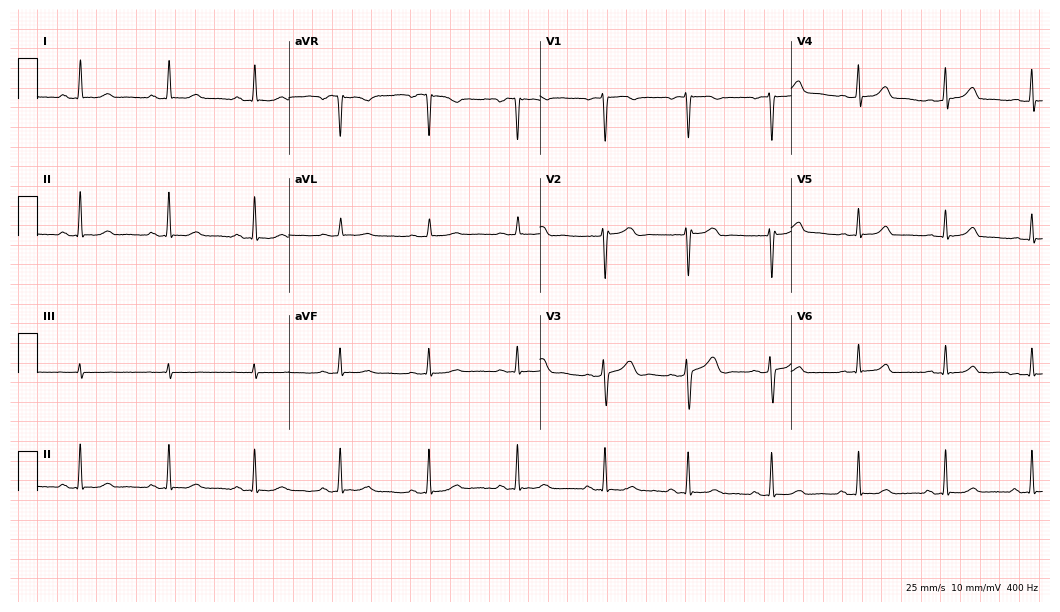
Standard 12-lead ECG recorded from a 38-year-old female (10.2-second recording at 400 Hz). Read as a normal ECG.